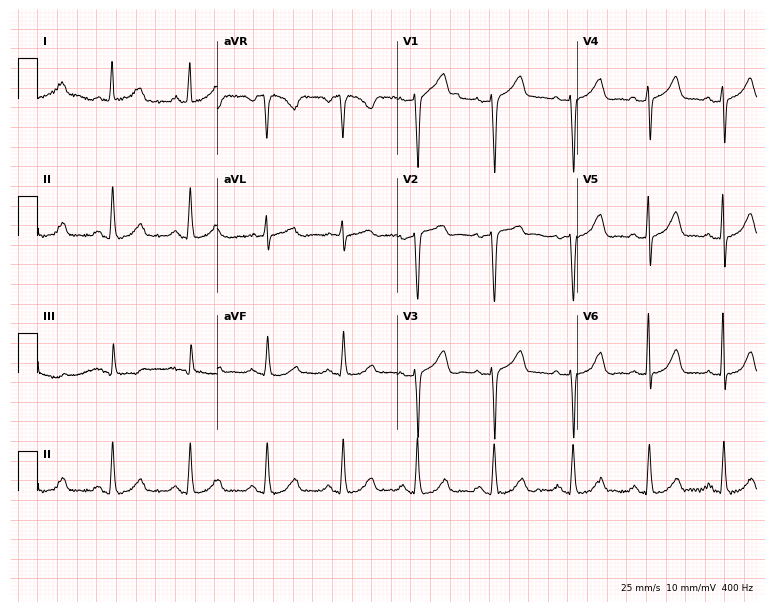
ECG (7.3-second recording at 400 Hz) — a 56-year-old woman. Labelled as a normal ECG.